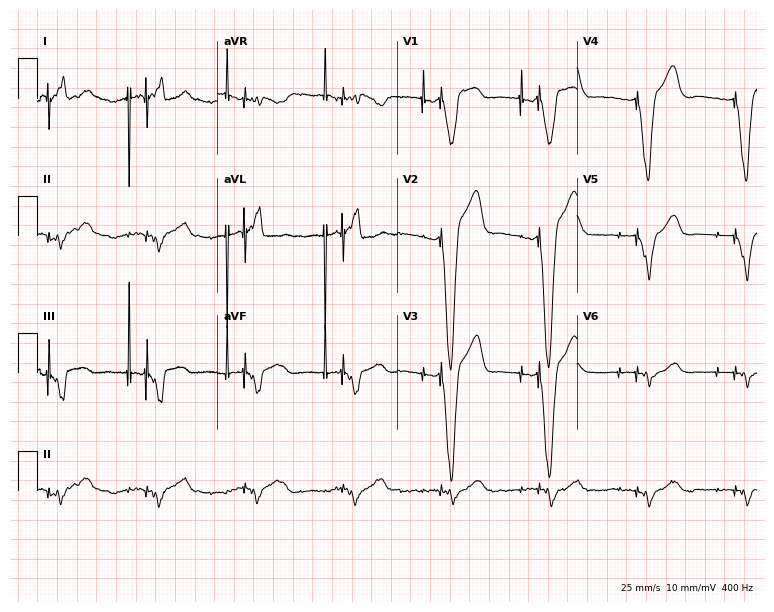
12-lead ECG from an 82-year-old man. No first-degree AV block, right bundle branch block (RBBB), left bundle branch block (LBBB), sinus bradycardia, atrial fibrillation (AF) or sinus tachycardia recorded for this tracing. Findings outside these six are not listed.